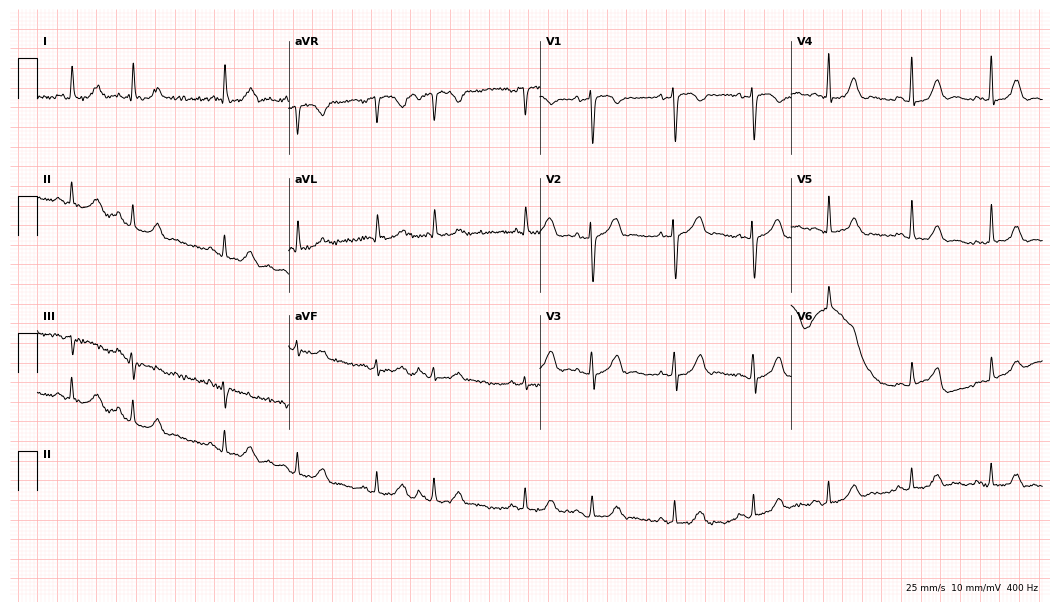
12-lead ECG (10.2-second recording at 400 Hz) from a male patient, 82 years old. Screened for six findings — first-degree AV block, right bundle branch block, left bundle branch block, sinus bradycardia, atrial fibrillation, sinus tachycardia — none is recorded.